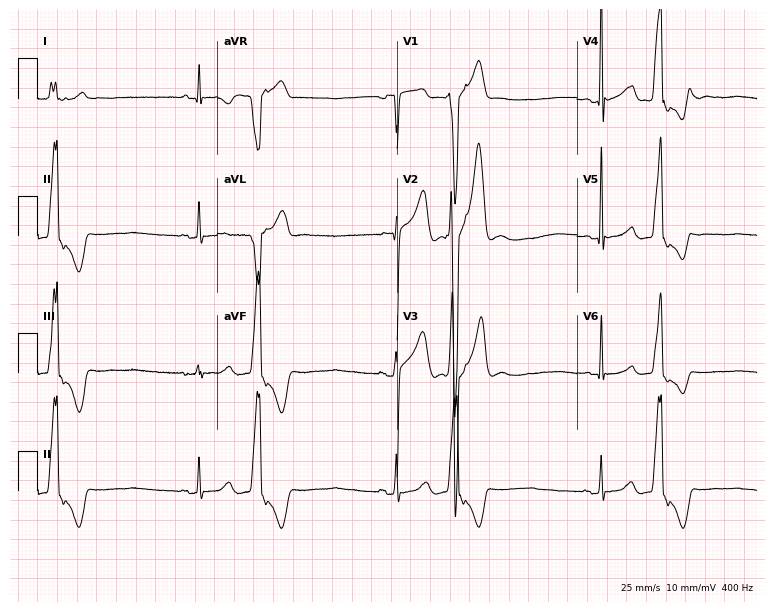
12-lead ECG from a male patient, 19 years old (7.3-second recording at 400 Hz). No first-degree AV block, right bundle branch block (RBBB), left bundle branch block (LBBB), sinus bradycardia, atrial fibrillation (AF) or sinus tachycardia recorded for this tracing. Findings outside these six are not listed.